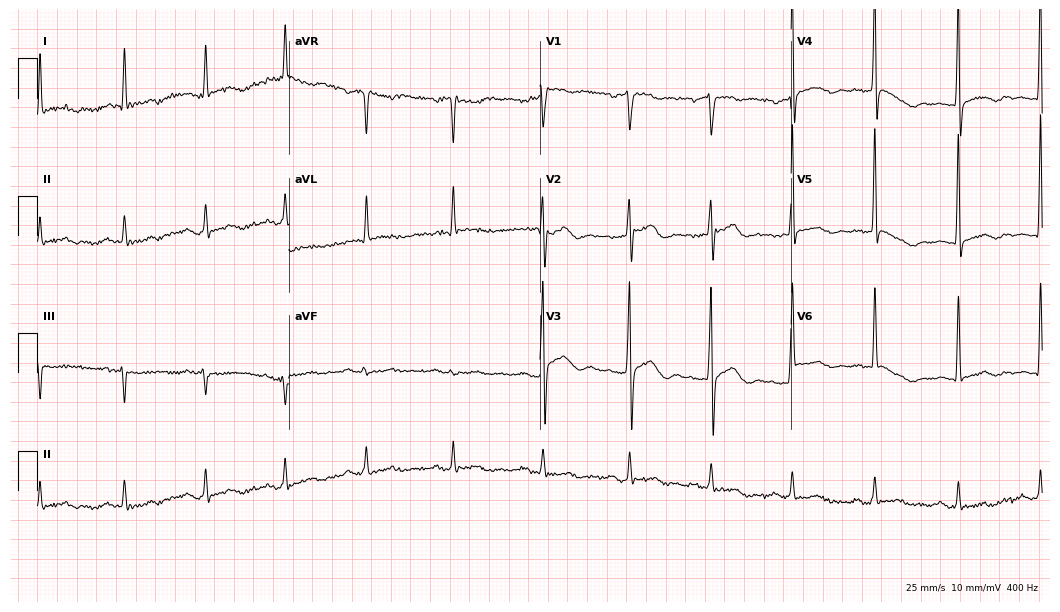
12-lead ECG from a 70-year-old male patient. No first-degree AV block, right bundle branch block, left bundle branch block, sinus bradycardia, atrial fibrillation or sinus tachycardia recorded for this tracing.